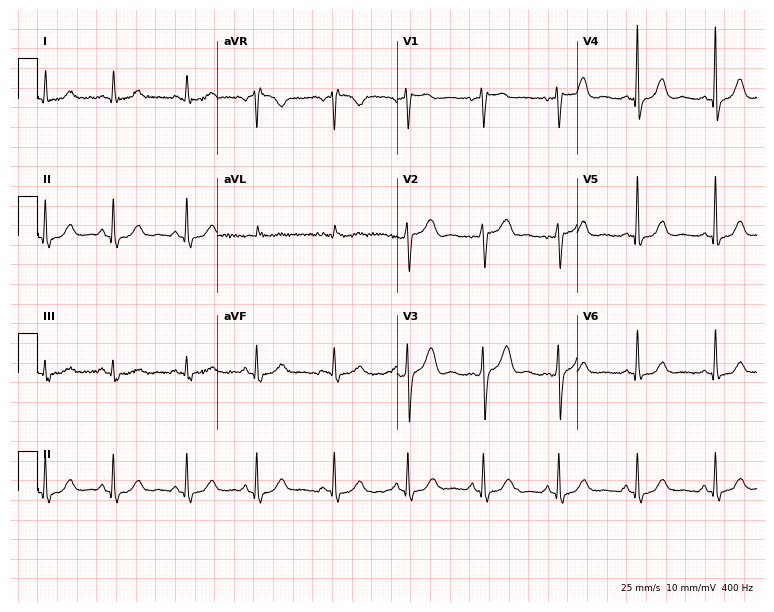
Electrocardiogram (7.3-second recording at 400 Hz), a 53-year-old woman. Overall reading on record: normal ECG.